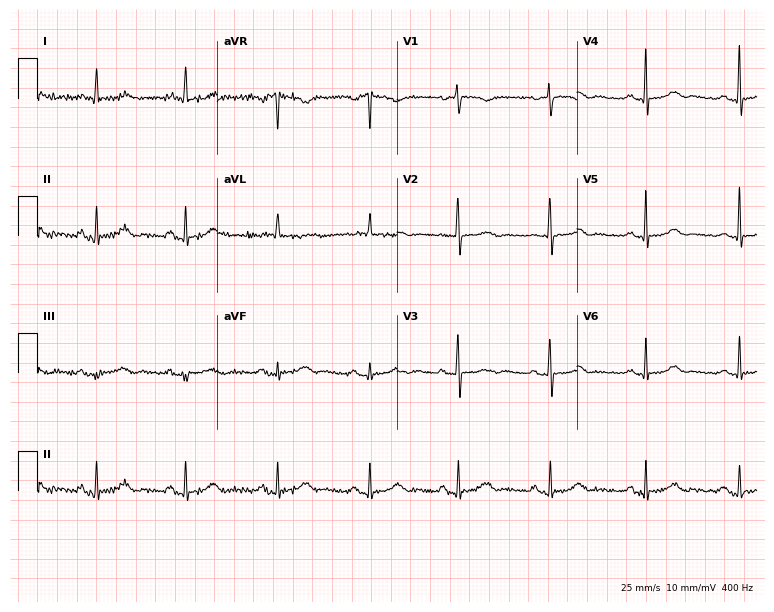
Electrocardiogram (7.3-second recording at 400 Hz), a female patient, 70 years old. Of the six screened findings (first-degree AV block, right bundle branch block (RBBB), left bundle branch block (LBBB), sinus bradycardia, atrial fibrillation (AF), sinus tachycardia), none is recorded.